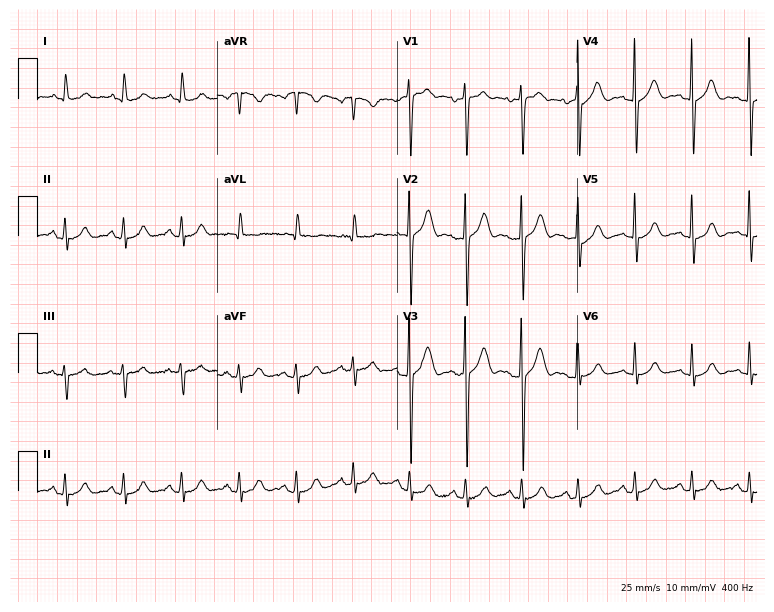
Standard 12-lead ECG recorded from a man, 55 years old. The tracing shows sinus tachycardia (a sinus rate of 100 beats per minute or more).